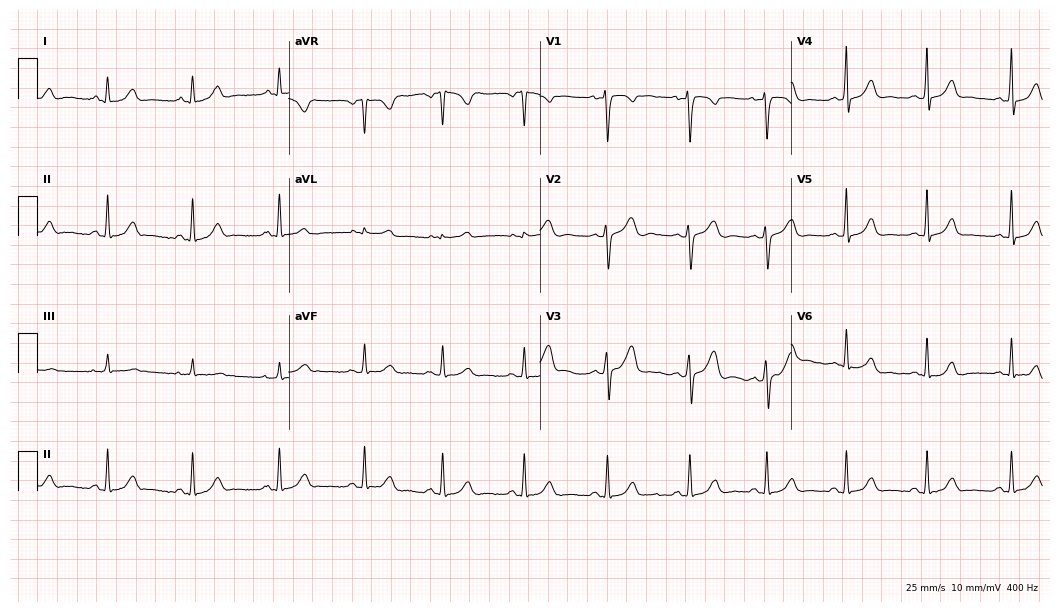
12-lead ECG from a 20-year-old female. Labelled as a normal ECG.